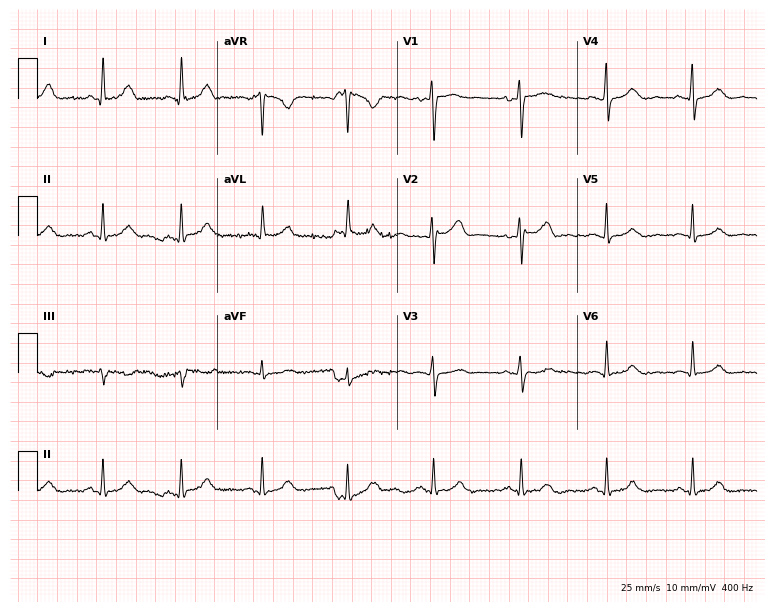
ECG — a female patient, 63 years old. Labelled as a normal ECG.